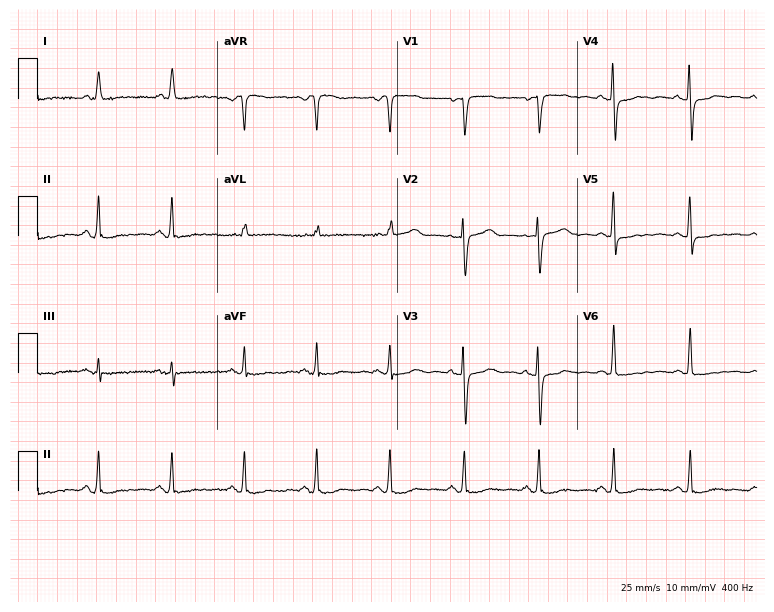
12-lead ECG from a 62-year-old female (7.3-second recording at 400 Hz). No first-degree AV block, right bundle branch block, left bundle branch block, sinus bradycardia, atrial fibrillation or sinus tachycardia recorded for this tracing. Other findings, if any, are not listed.